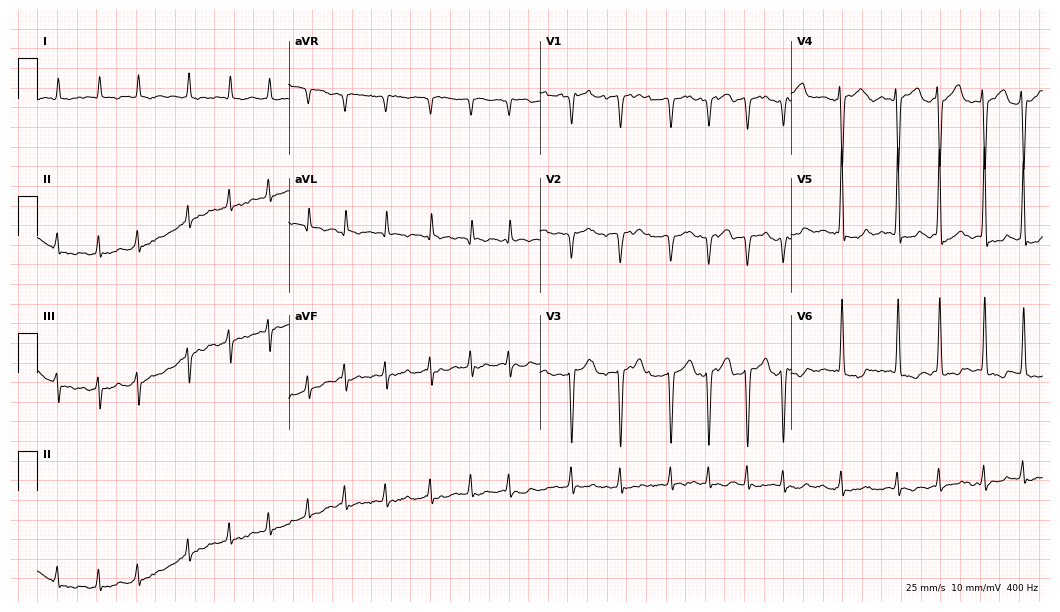
Standard 12-lead ECG recorded from a male, 80 years old (10.2-second recording at 400 Hz). The tracing shows atrial fibrillation (AF).